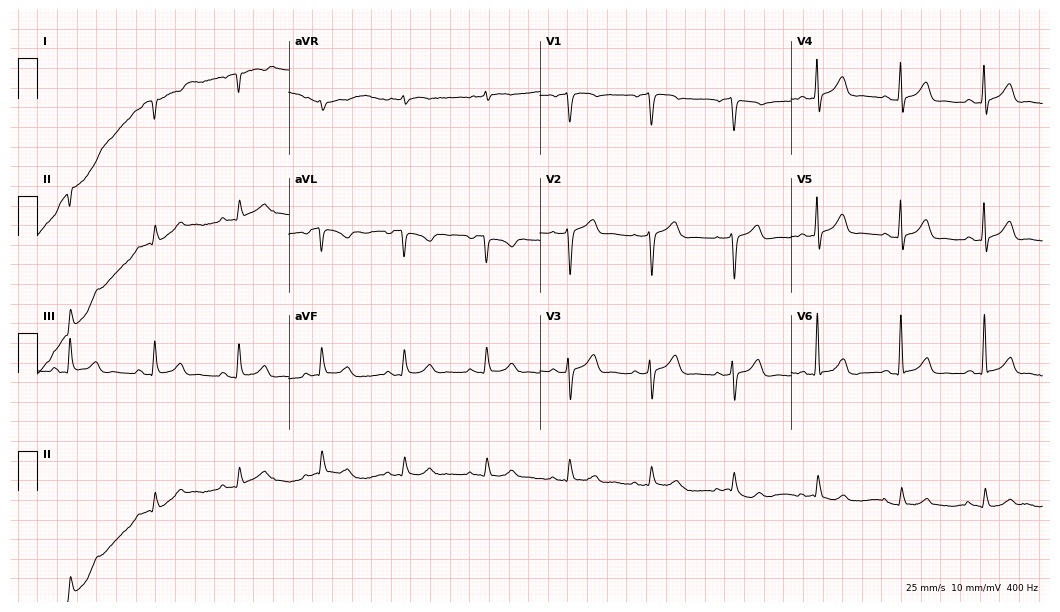
Electrocardiogram (10.2-second recording at 400 Hz), a 74-year-old man. Of the six screened findings (first-degree AV block, right bundle branch block, left bundle branch block, sinus bradycardia, atrial fibrillation, sinus tachycardia), none is recorded.